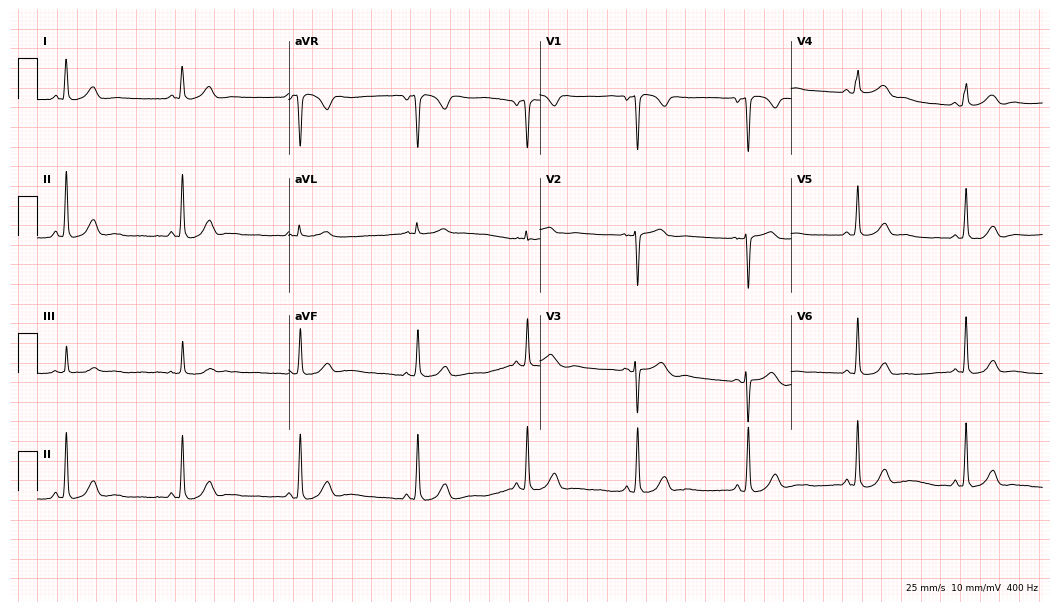
12-lead ECG from a female, 50 years old. Recorded interpretation: within normal limits.